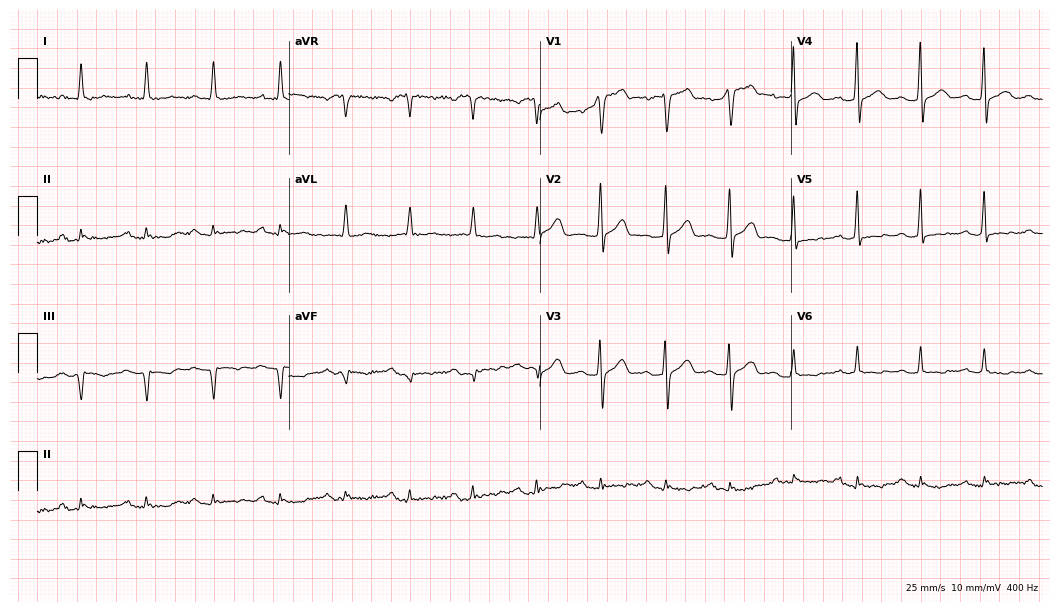
ECG (10.2-second recording at 400 Hz) — a man, 80 years old. Screened for six findings — first-degree AV block, right bundle branch block, left bundle branch block, sinus bradycardia, atrial fibrillation, sinus tachycardia — none is recorded.